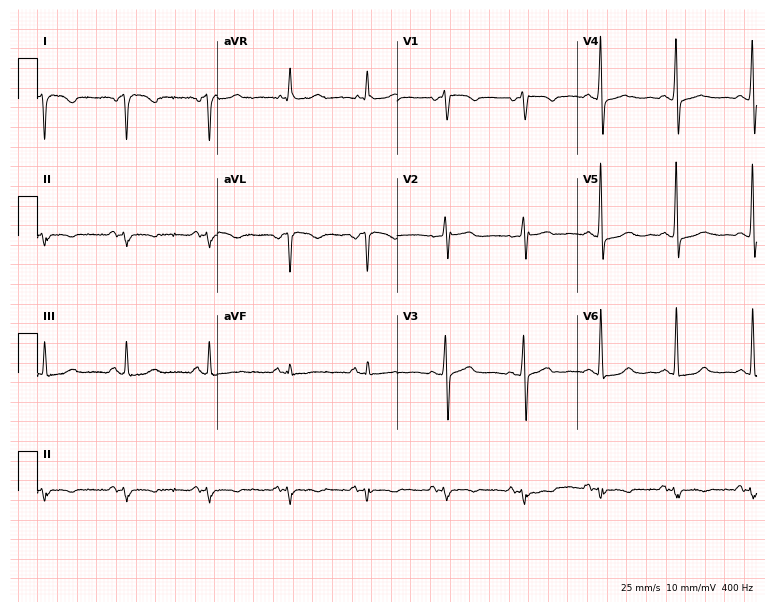
ECG — a female, 65 years old. Screened for six findings — first-degree AV block, right bundle branch block, left bundle branch block, sinus bradycardia, atrial fibrillation, sinus tachycardia — none is recorded. Findings outside these six are not listed.